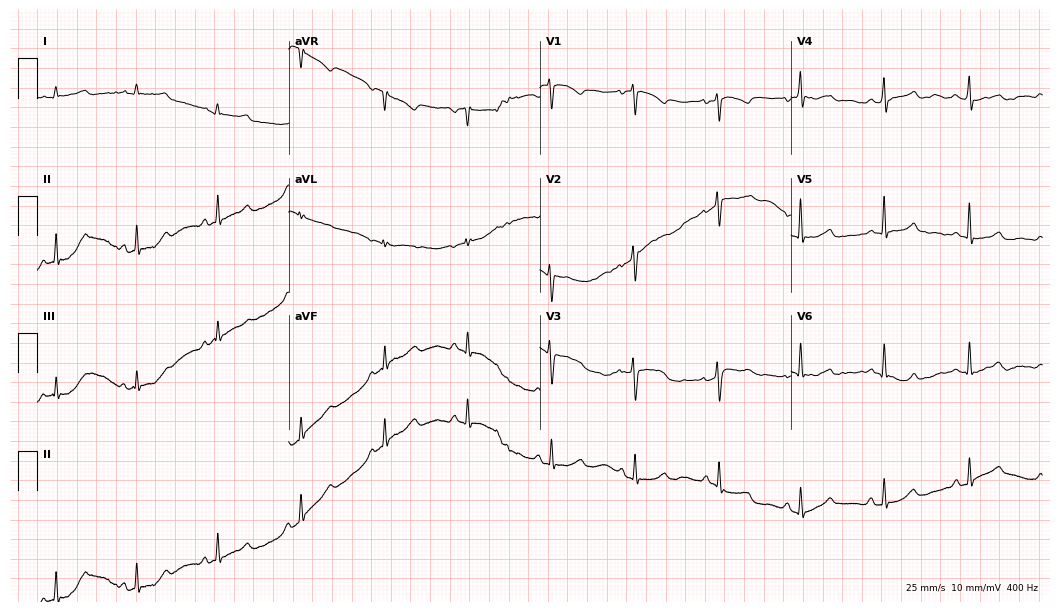
12-lead ECG from a 39-year-old female patient (10.2-second recording at 400 Hz). Recorded interpretation: within normal limits.